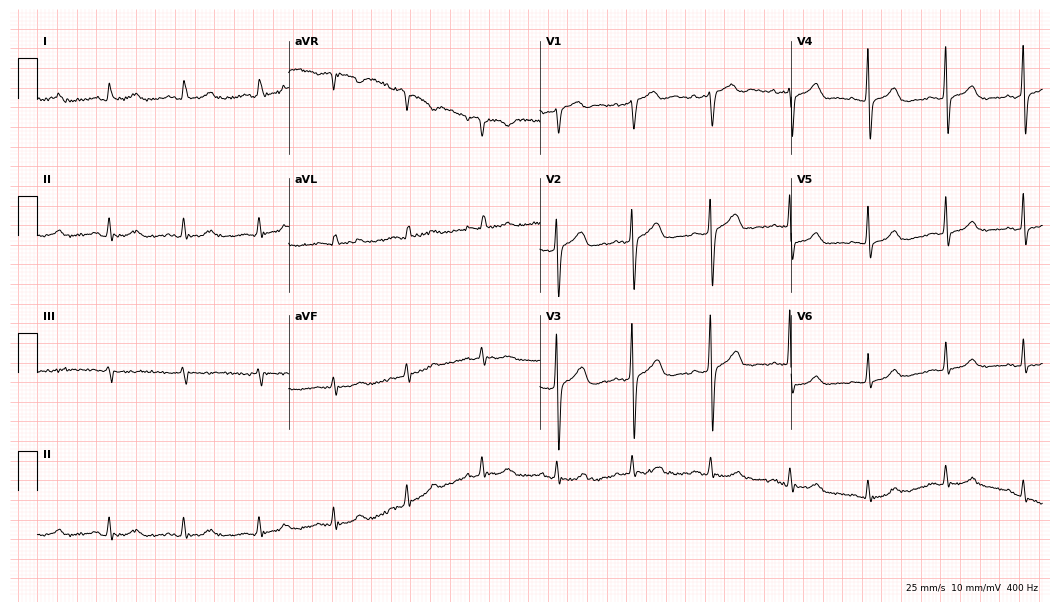
Electrocardiogram (10.2-second recording at 400 Hz), a male patient, 39 years old. Of the six screened findings (first-degree AV block, right bundle branch block (RBBB), left bundle branch block (LBBB), sinus bradycardia, atrial fibrillation (AF), sinus tachycardia), none is recorded.